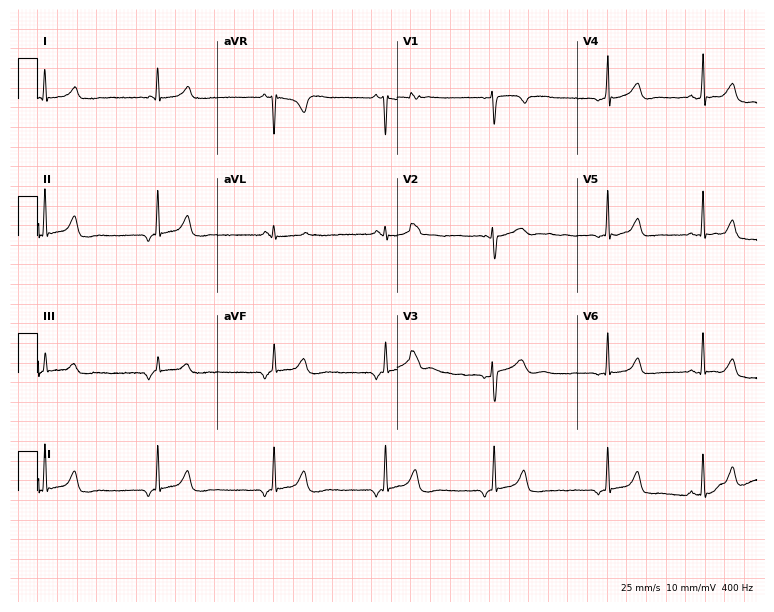
Electrocardiogram (7.3-second recording at 400 Hz), a 26-year-old woman. Of the six screened findings (first-degree AV block, right bundle branch block, left bundle branch block, sinus bradycardia, atrial fibrillation, sinus tachycardia), none is recorded.